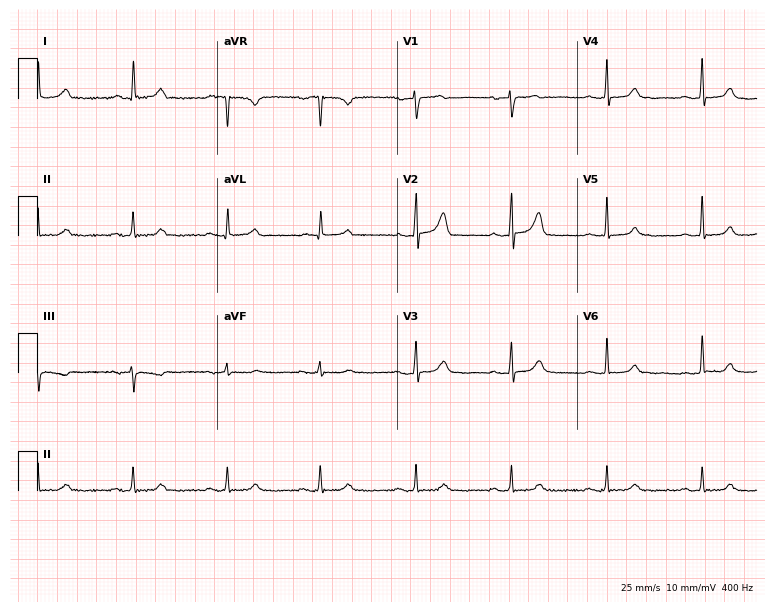
Electrocardiogram, a woman, 75 years old. Overall reading on record: normal ECG.